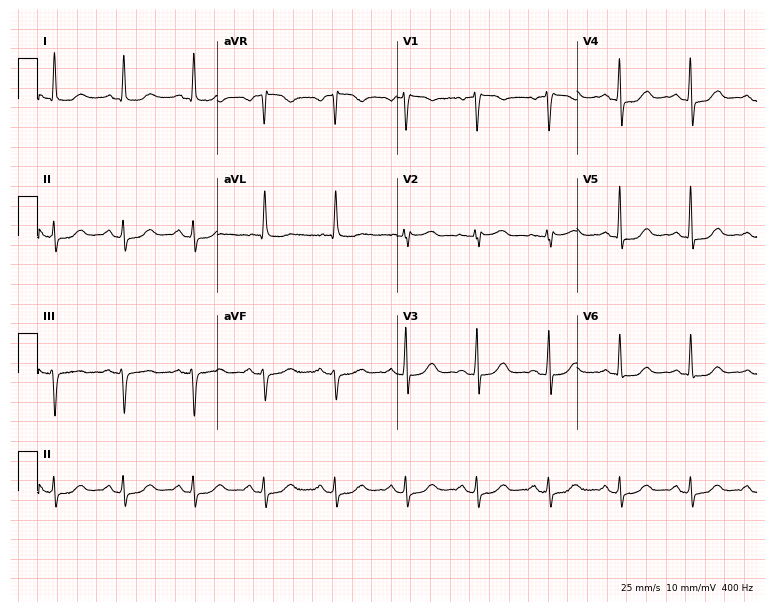
Standard 12-lead ECG recorded from an 80-year-old woman. Read as a normal ECG.